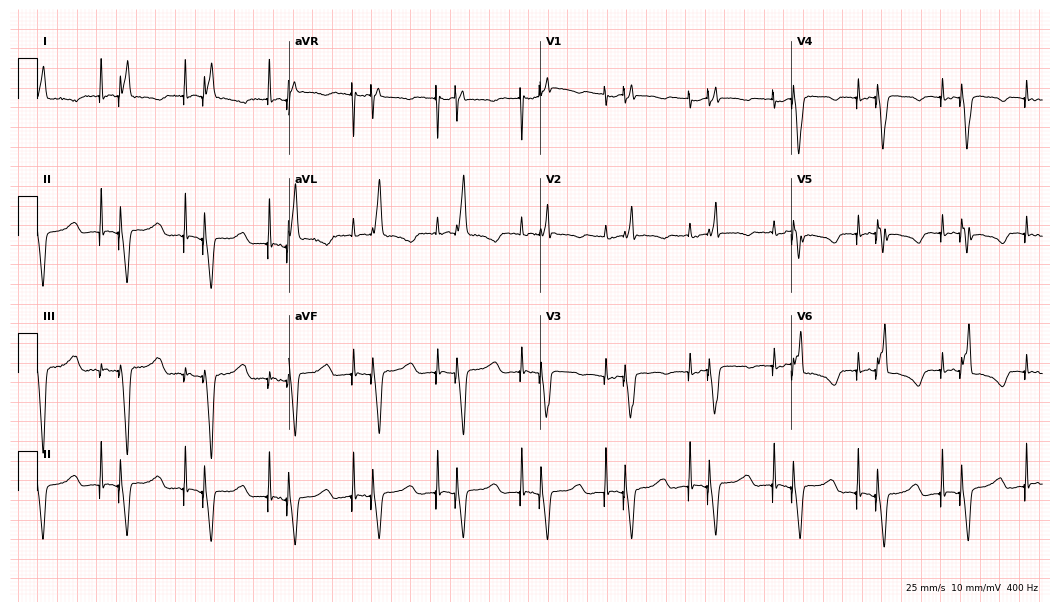
Resting 12-lead electrocardiogram (10.2-second recording at 400 Hz). Patient: a male, 74 years old. None of these six findings is recorded: first-degree AV block, right bundle branch block, left bundle branch block, sinus bradycardia, atrial fibrillation, sinus tachycardia. Other findings, if any, are not listed.